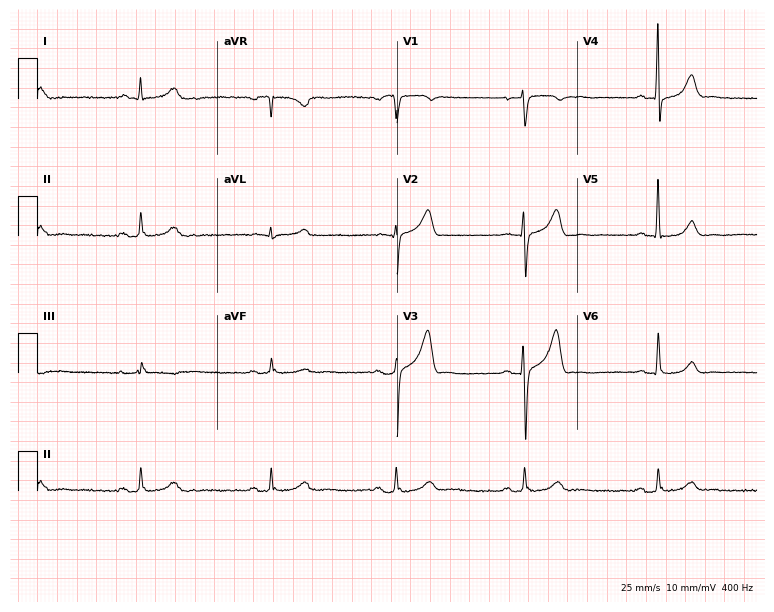
12-lead ECG from a male patient, 57 years old. Findings include sinus bradycardia (a sinus rate of 50 beats per minute or less).